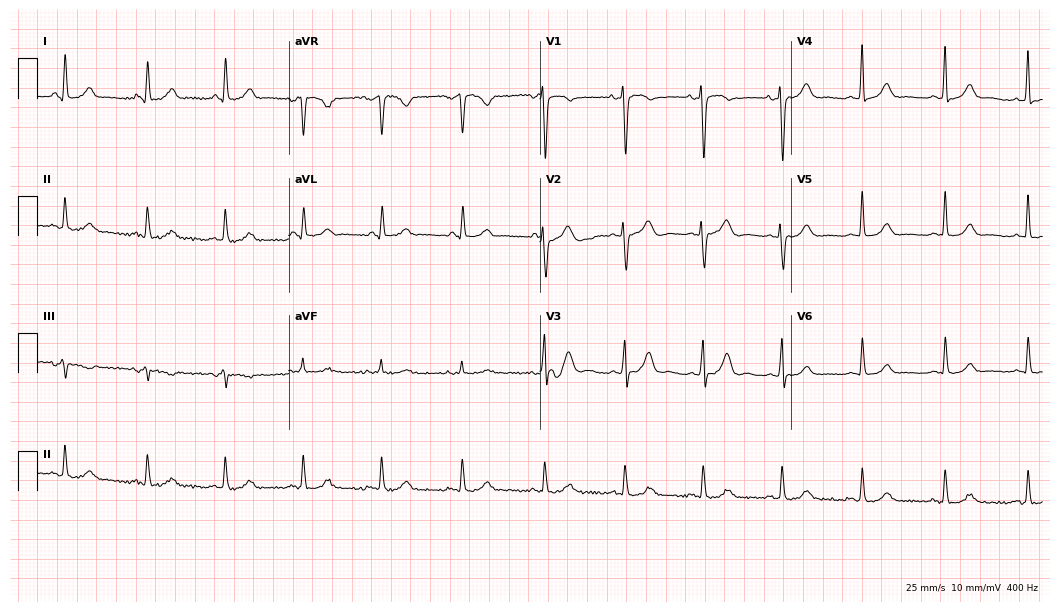
12-lead ECG from a female, 25 years old. No first-degree AV block, right bundle branch block (RBBB), left bundle branch block (LBBB), sinus bradycardia, atrial fibrillation (AF) or sinus tachycardia recorded for this tracing.